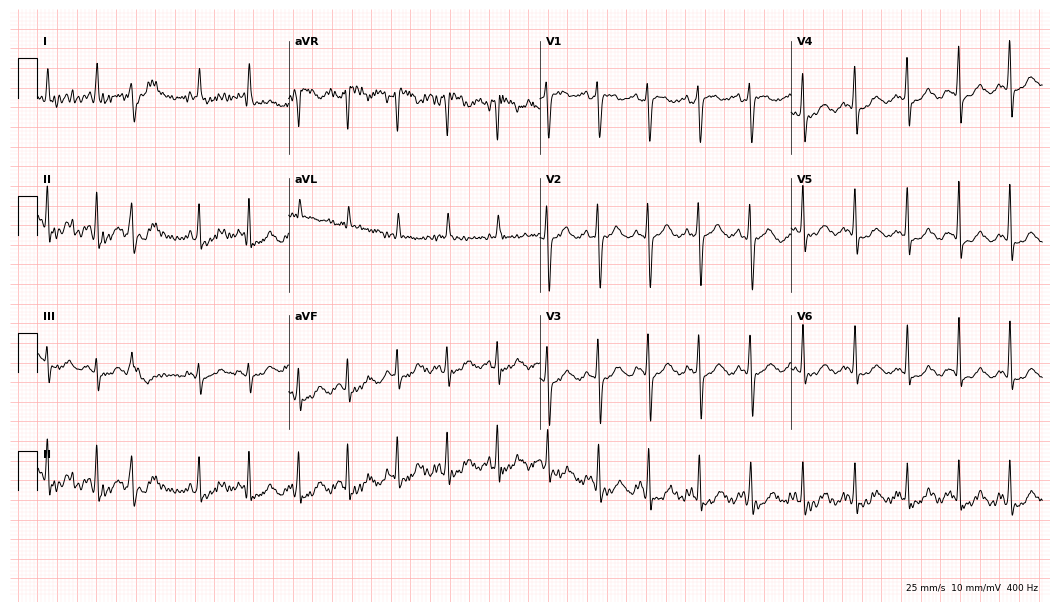
12-lead ECG from a 59-year-old female patient. No first-degree AV block, right bundle branch block, left bundle branch block, sinus bradycardia, atrial fibrillation or sinus tachycardia recorded for this tracing.